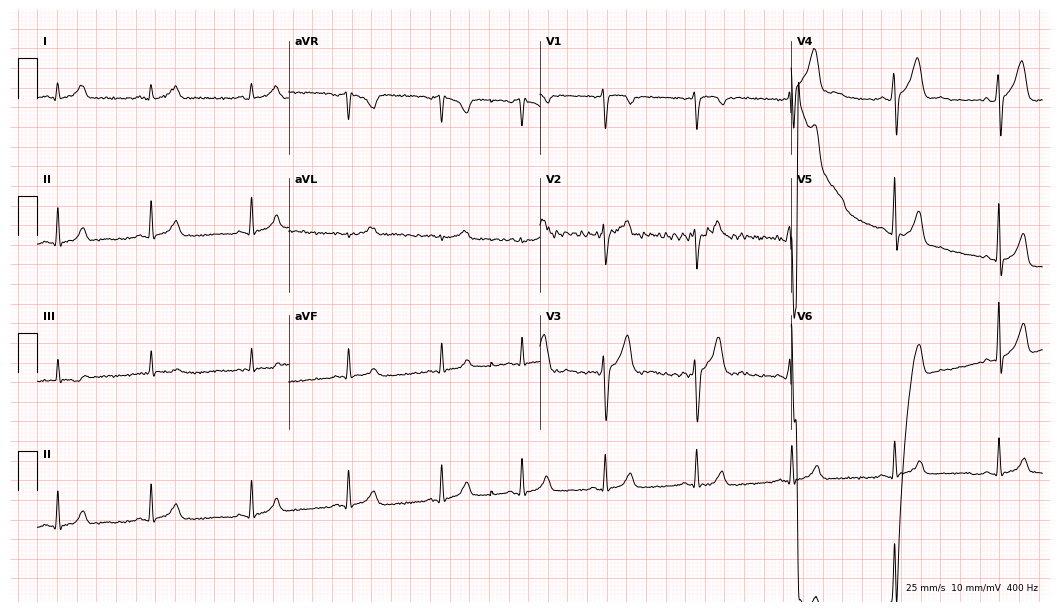
12-lead ECG from a male, 26 years old. Labelled as a normal ECG.